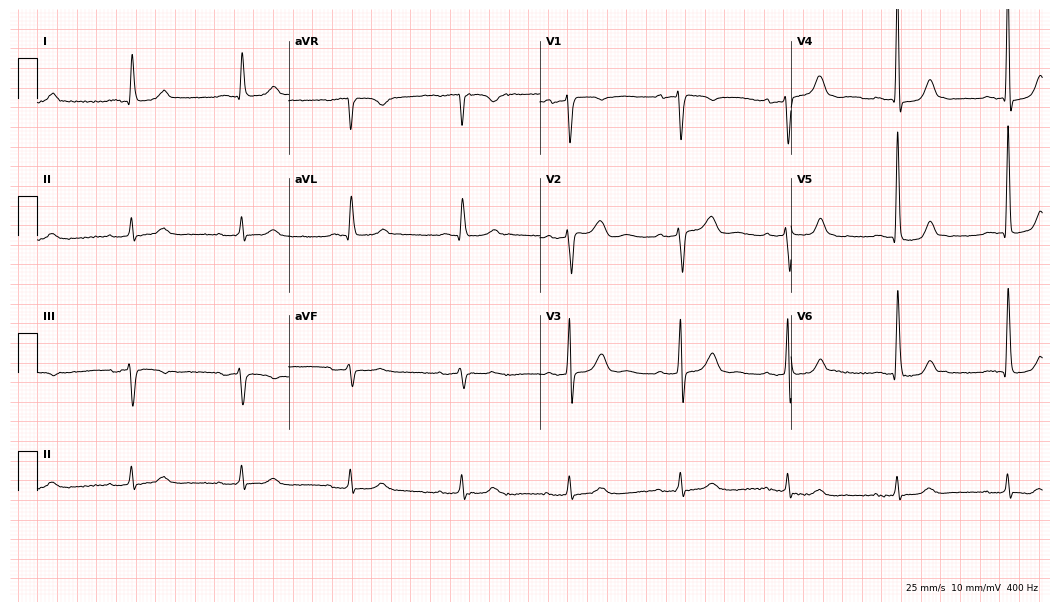
Electrocardiogram (10.2-second recording at 400 Hz), a 71-year-old female patient. Interpretation includes first-degree AV block.